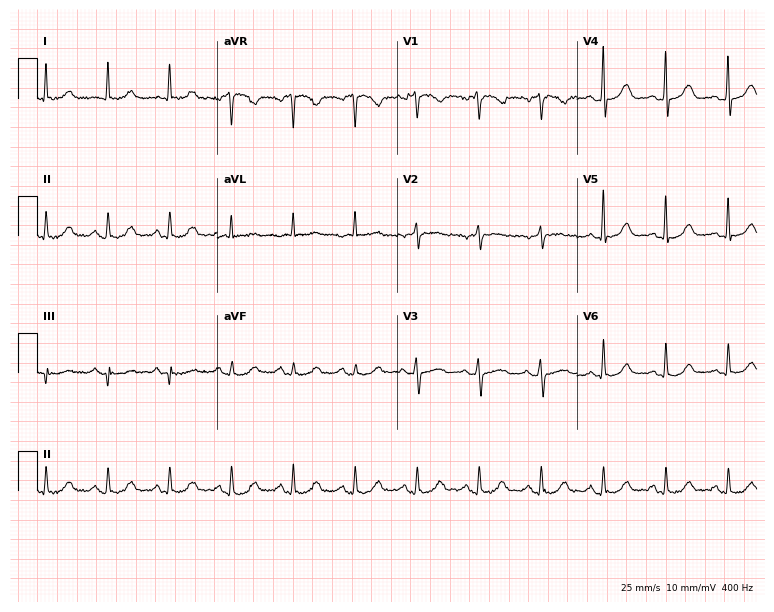
Standard 12-lead ECG recorded from a 71-year-old female (7.3-second recording at 400 Hz). None of these six findings is recorded: first-degree AV block, right bundle branch block (RBBB), left bundle branch block (LBBB), sinus bradycardia, atrial fibrillation (AF), sinus tachycardia.